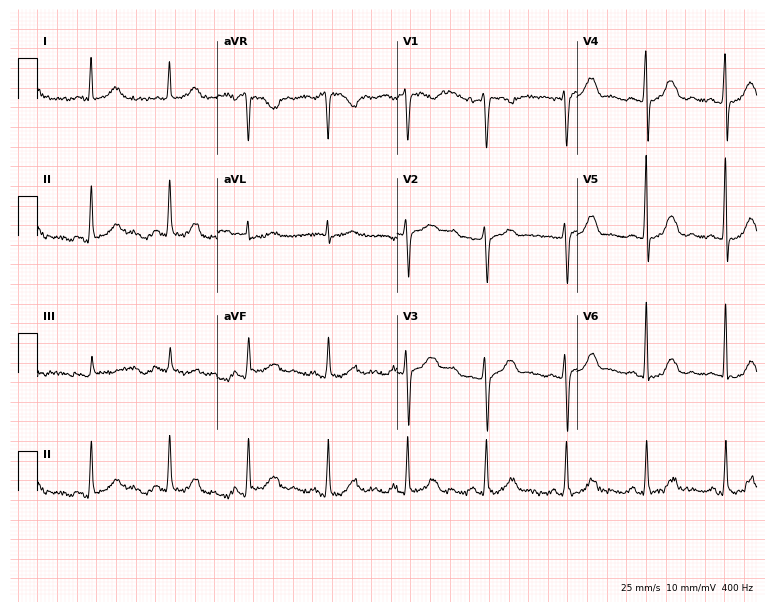
12-lead ECG from a woman, 33 years old. No first-degree AV block, right bundle branch block, left bundle branch block, sinus bradycardia, atrial fibrillation or sinus tachycardia recorded for this tracing. Only these six findings were labelled.